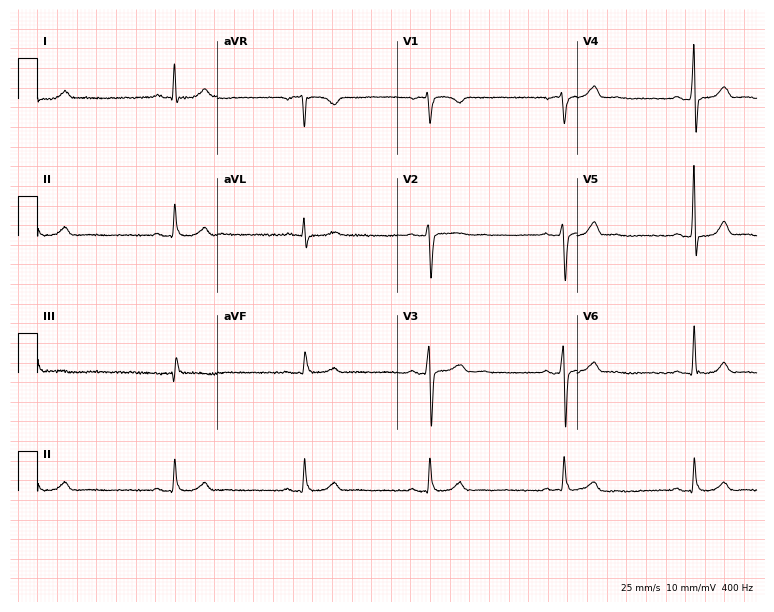
12-lead ECG from a 47-year-old male (7.3-second recording at 400 Hz). Recorded interpretation: within normal limits.